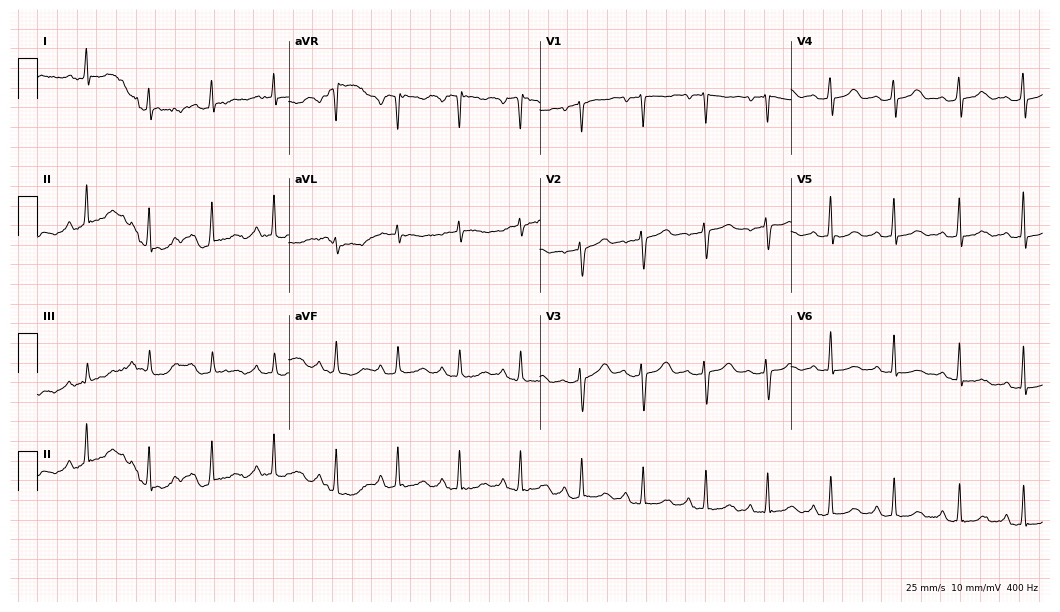
Electrocardiogram (10.2-second recording at 400 Hz), a female patient, 72 years old. Overall reading on record: normal ECG.